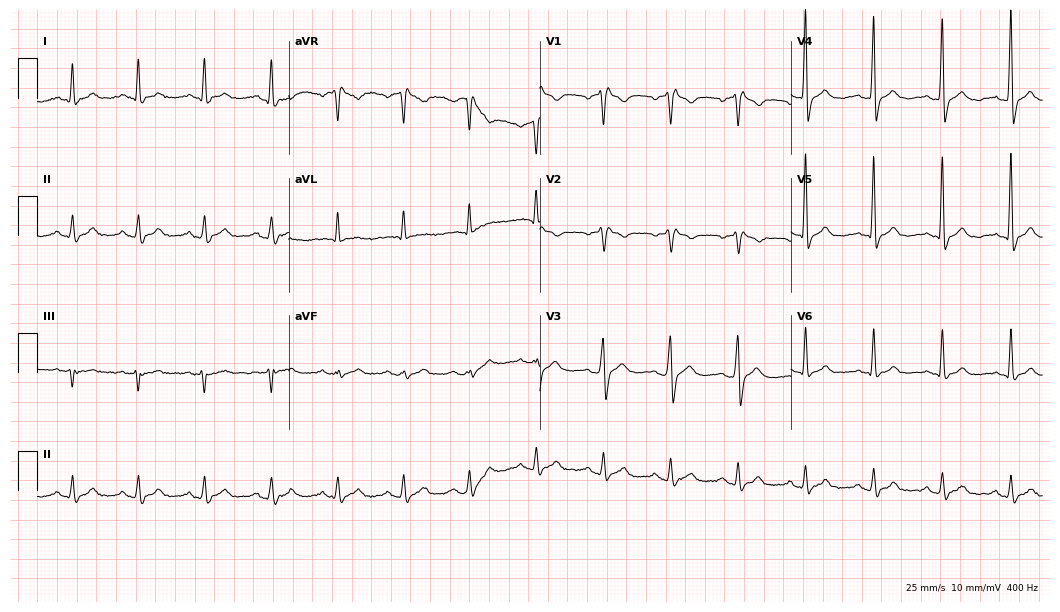
Standard 12-lead ECG recorded from a male patient, 43 years old. None of these six findings is recorded: first-degree AV block, right bundle branch block (RBBB), left bundle branch block (LBBB), sinus bradycardia, atrial fibrillation (AF), sinus tachycardia. Only these six findings were labelled.